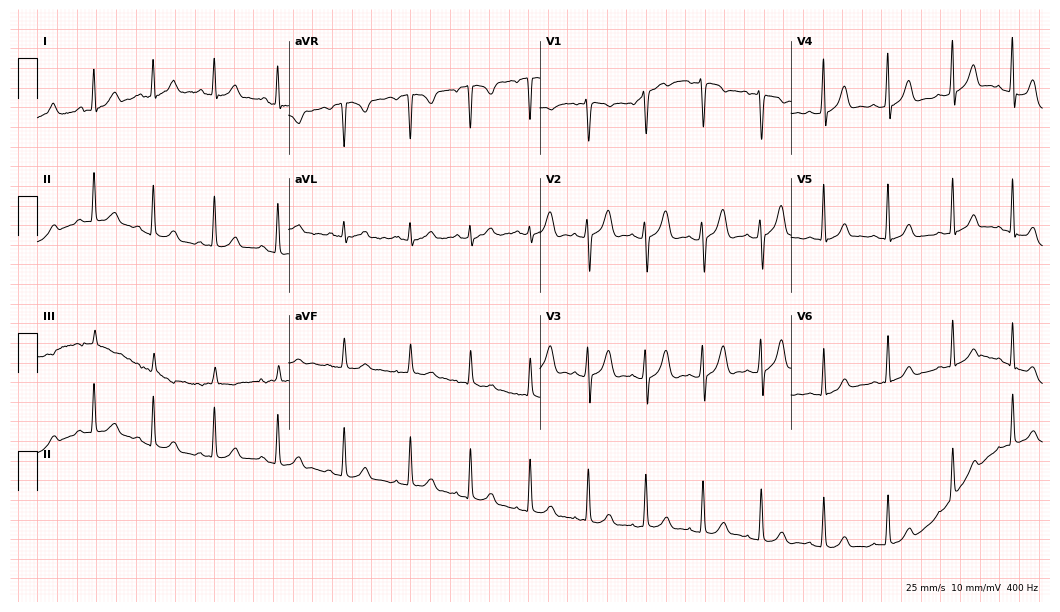
12-lead ECG from a 23-year-old woman. Screened for six findings — first-degree AV block, right bundle branch block, left bundle branch block, sinus bradycardia, atrial fibrillation, sinus tachycardia — none is recorded.